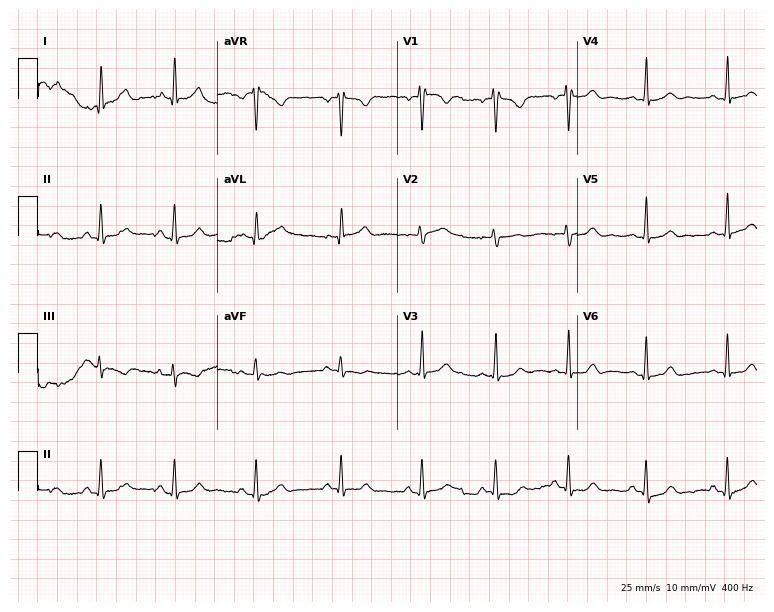
12-lead ECG from a woman, 17 years old (7.3-second recording at 400 Hz). No first-degree AV block, right bundle branch block, left bundle branch block, sinus bradycardia, atrial fibrillation or sinus tachycardia recorded for this tracing.